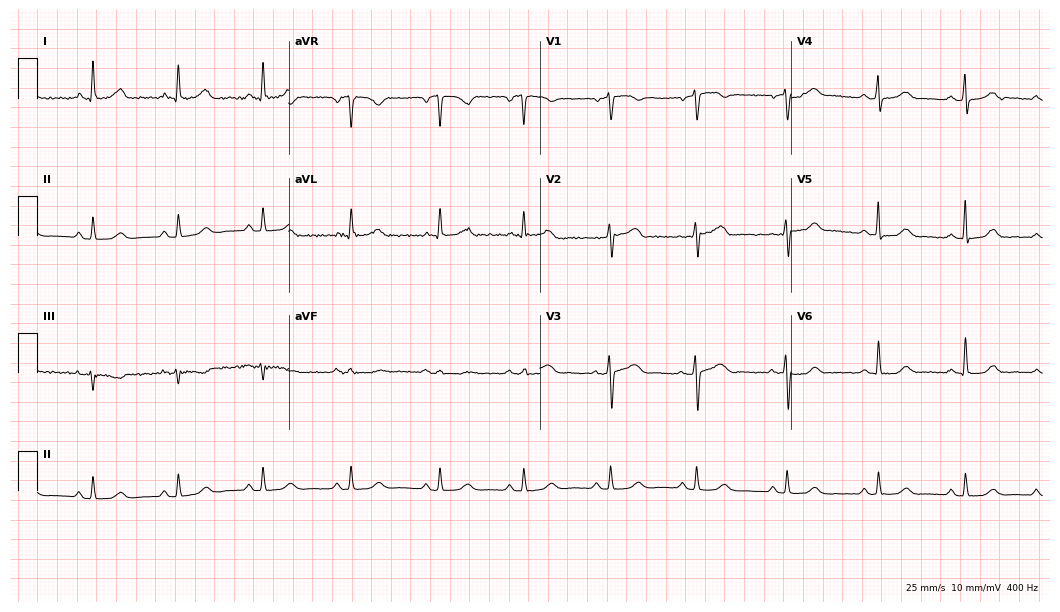
Resting 12-lead electrocardiogram (10.2-second recording at 400 Hz). Patient: a female, 52 years old. Read as a normal ECG.